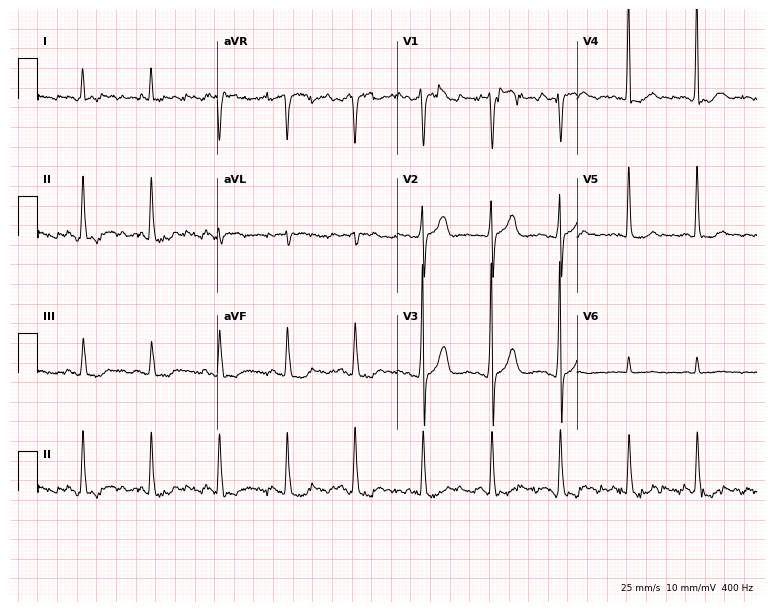
12-lead ECG from a female patient, 78 years old (7.3-second recording at 400 Hz). No first-degree AV block, right bundle branch block (RBBB), left bundle branch block (LBBB), sinus bradycardia, atrial fibrillation (AF) or sinus tachycardia recorded for this tracing. Findings outside these six are not listed.